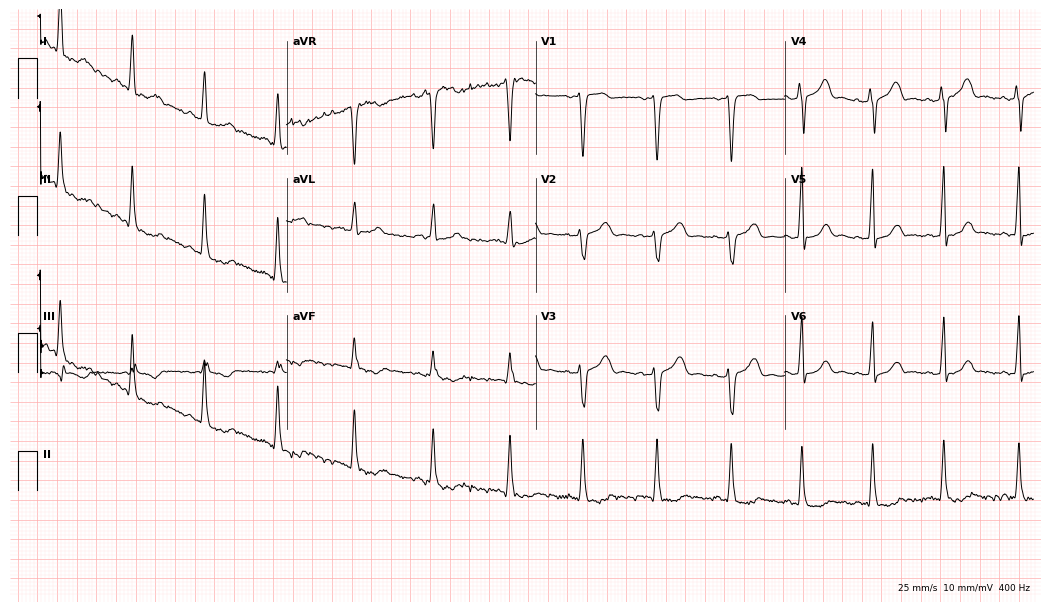
Resting 12-lead electrocardiogram (10.2-second recording at 400 Hz). Patient: a woman, 35 years old. None of these six findings is recorded: first-degree AV block, right bundle branch block, left bundle branch block, sinus bradycardia, atrial fibrillation, sinus tachycardia. Findings outside these six are not listed.